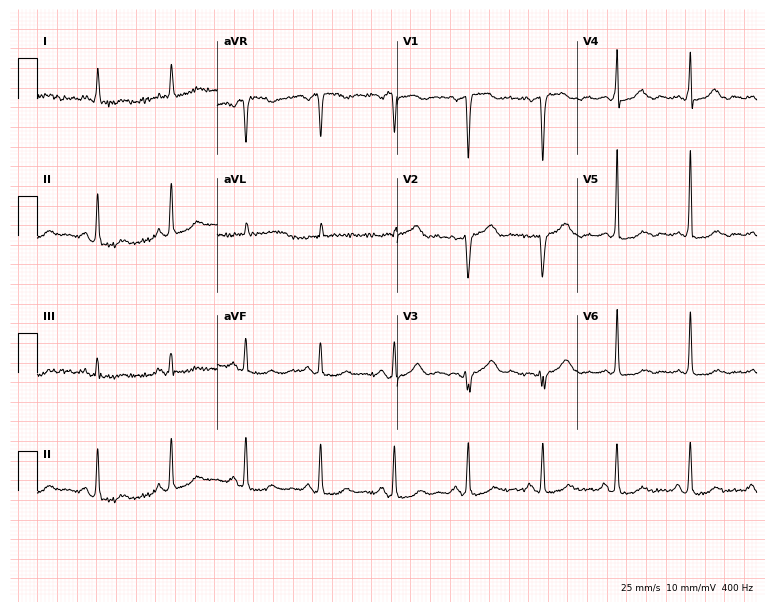
12-lead ECG from a 75-year-old woman. Labelled as a normal ECG.